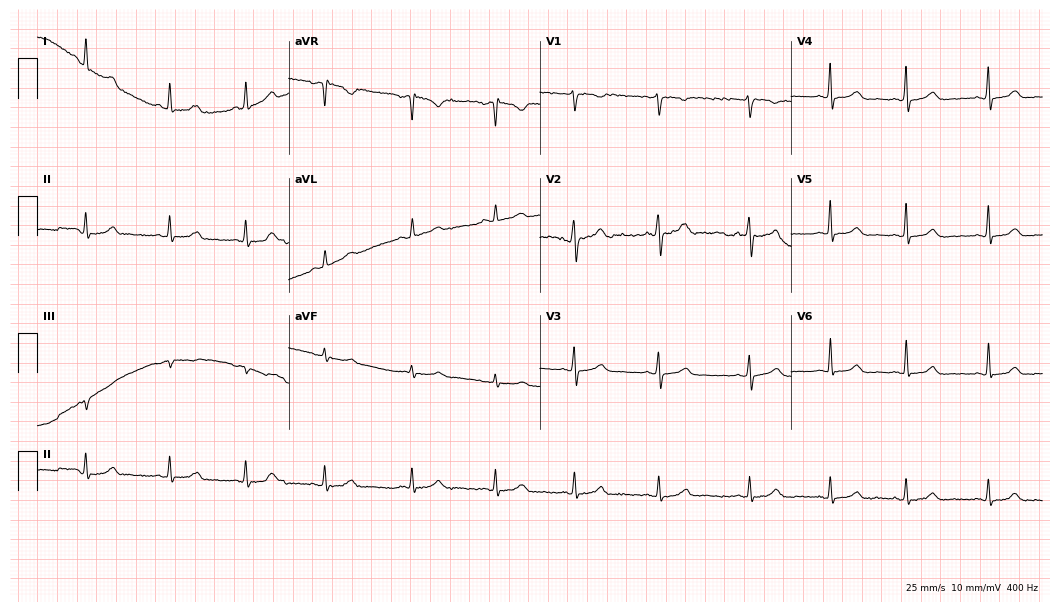
Standard 12-lead ECG recorded from a female, 27 years old (10.2-second recording at 400 Hz). None of these six findings is recorded: first-degree AV block, right bundle branch block, left bundle branch block, sinus bradycardia, atrial fibrillation, sinus tachycardia. Findings outside these six are not listed.